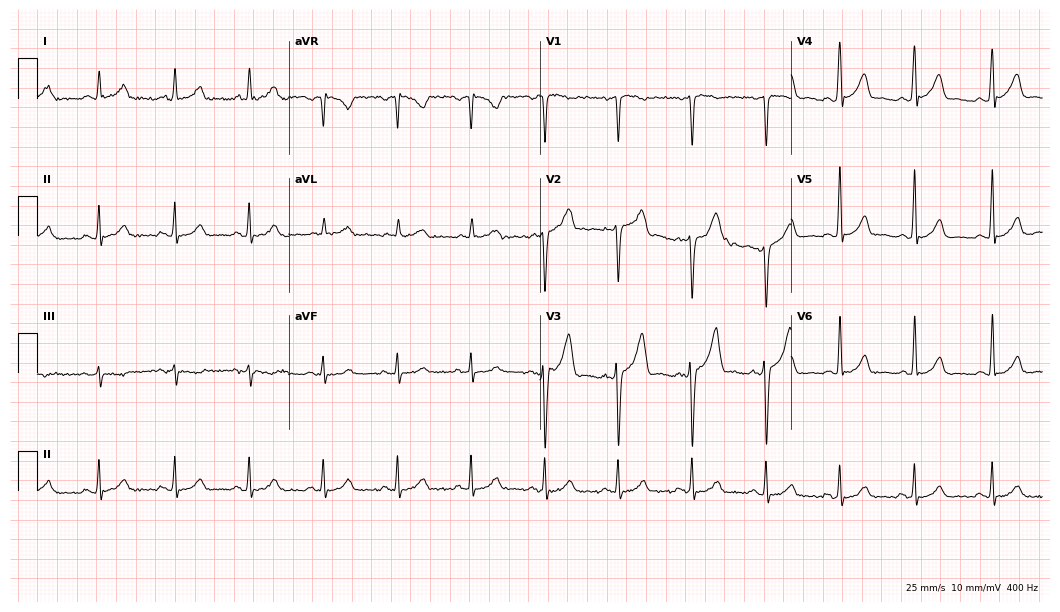
Resting 12-lead electrocardiogram (10.2-second recording at 400 Hz). Patient: a 45-year-old male. Read as a normal ECG.